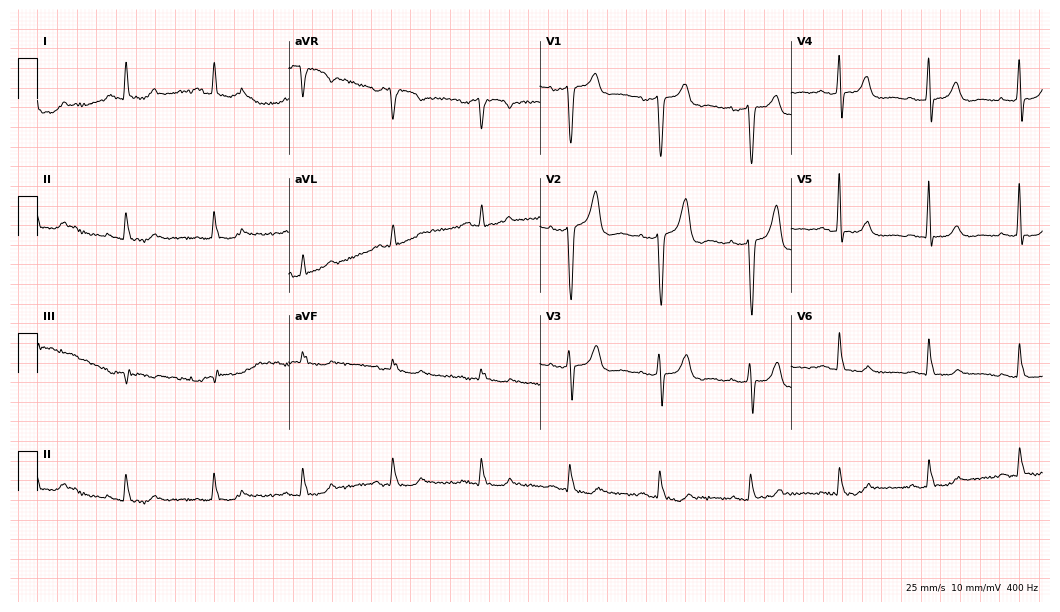
12-lead ECG from an 81-year-old male patient. Screened for six findings — first-degree AV block, right bundle branch block, left bundle branch block, sinus bradycardia, atrial fibrillation, sinus tachycardia — none is recorded.